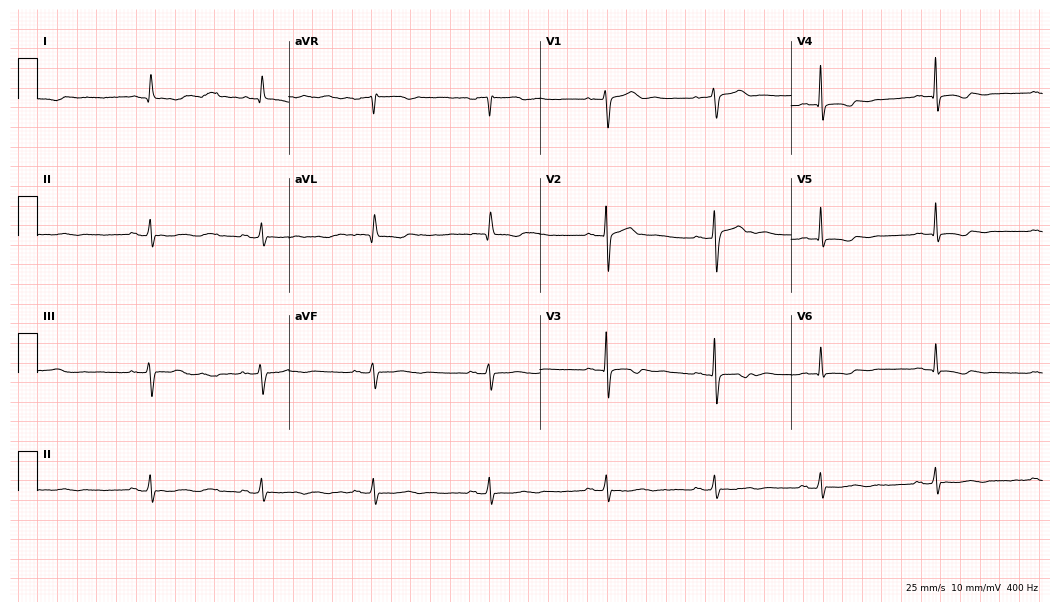
ECG (10.2-second recording at 400 Hz) — a woman, 50 years old. Screened for six findings — first-degree AV block, right bundle branch block (RBBB), left bundle branch block (LBBB), sinus bradycardia, atrial fibrillation (AF), sinus tachycardia — none is recorded.